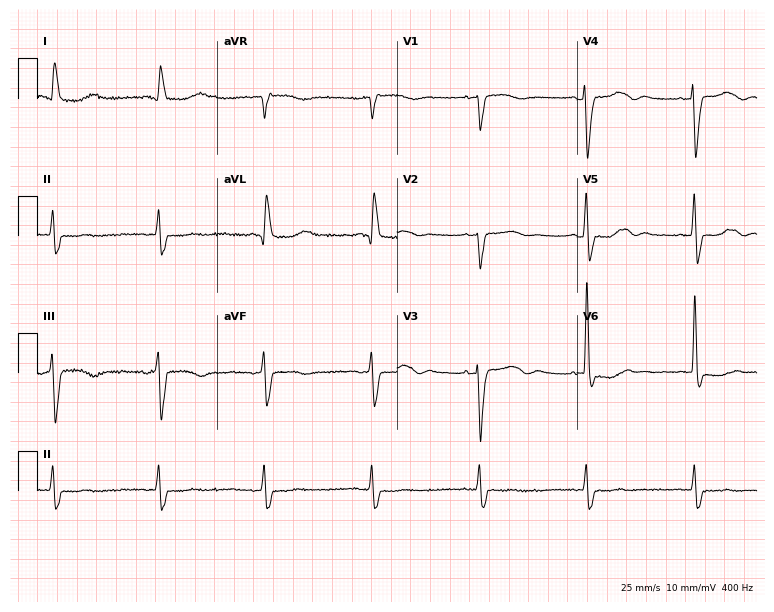
Electrocardiogram (7.3-second recording at 400 Hz), a 79-year-old female. Of the six screened findings (first-degree AV block, right bundle branch block, left bundle branch block, sinus bradycardia, atrial fibrillation, sinus tachycardia), none is recorded. Only these six findings were labelled.